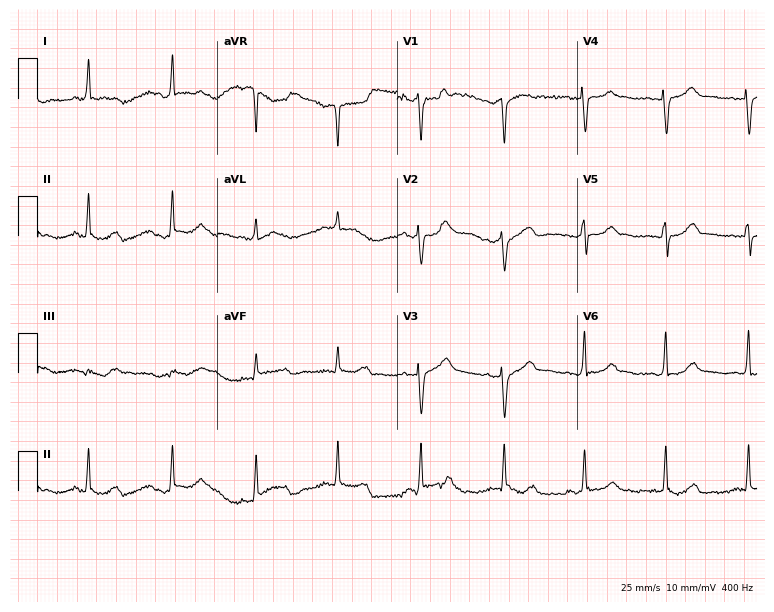
ECG (7.3-second recording at 400 Hz) — a 42-year-old female. Labelled as a normal ECG.